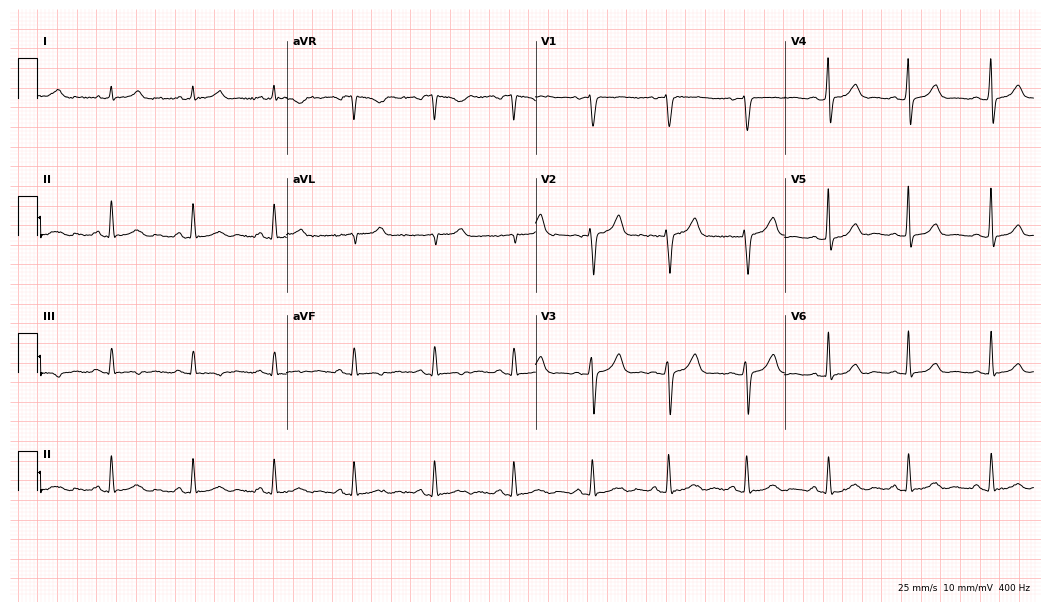
12-lead ECG from a woman, 35 years old. Screened for six findings — first-degree AV block, right bundle branch block, left bundle branch block, sinus bradycardia, atrial fibrillation, sinus tachycardia — none is recorded.